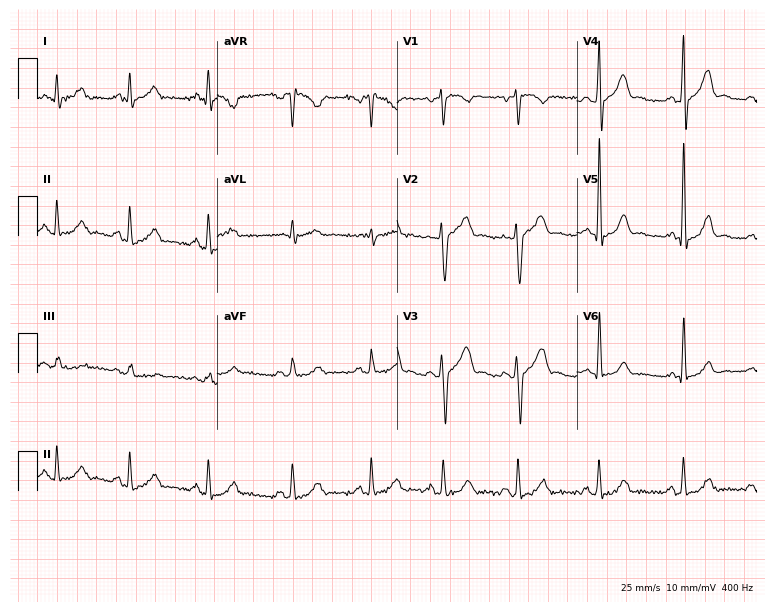
Resting 12-lead electrocardiogram. Patient: a 41-year-old man. None of these six findings is recorded: first-degree AV block, right bundle branch block, left bundle branch block, sinus bradycardia, atrial fibrillation, sinus tachycardia. Other findings, if any, are not listed.